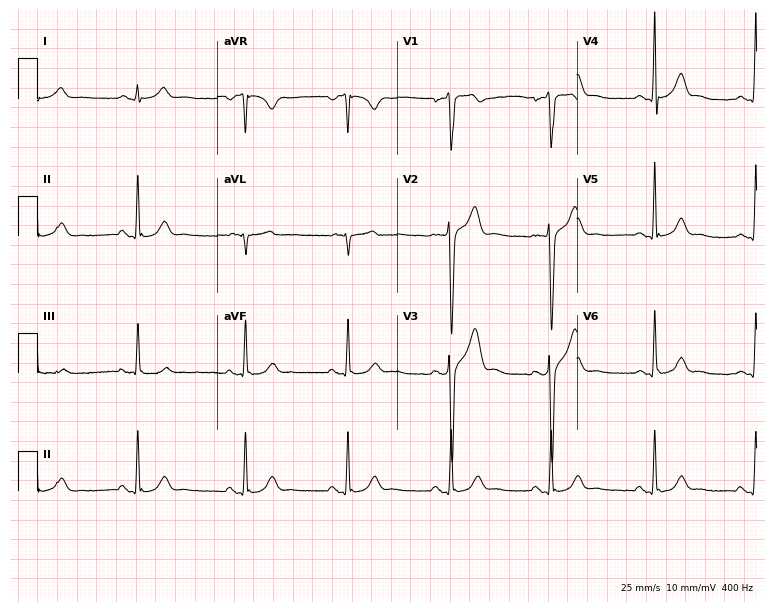
Standard 12-lead ECG recorded from a 39-year-old male patient. Read as a normal ECG.